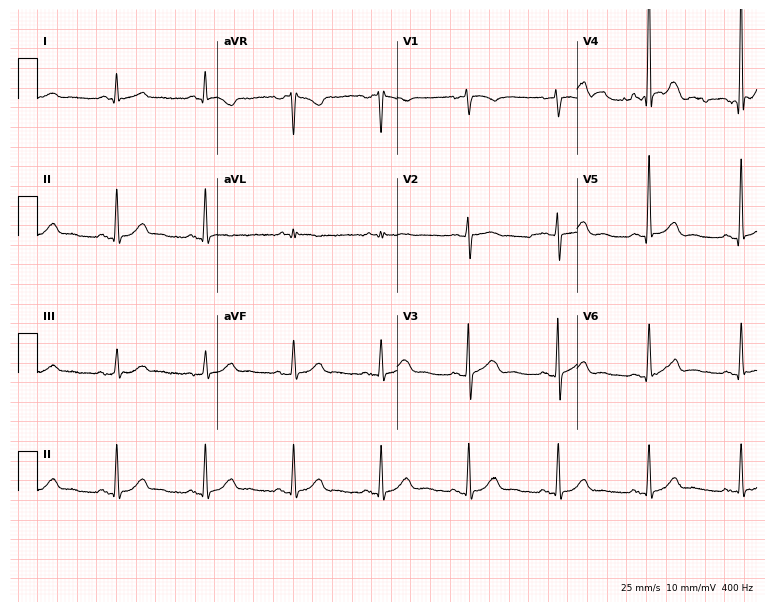
Standard 12-lead ECG recorded from a male, 71 years old (7.3-second recording at 400 Hz). Read as a normal ECG.